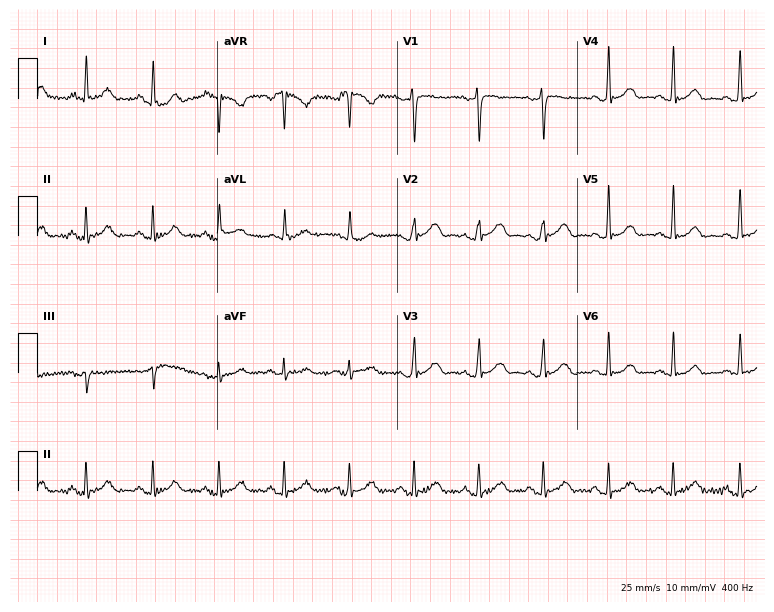
Resting 12-lead electrocardiogram (7.3-second recording at 400 Hz). Patient: a female, 49 years old. None of these six findings is recorded: first-degree AV block, right bundle branch block, left bundle branch block, sinus bradycardia, atrial fibrillation, sinus tachycardia. Findings outside these six are not listed.